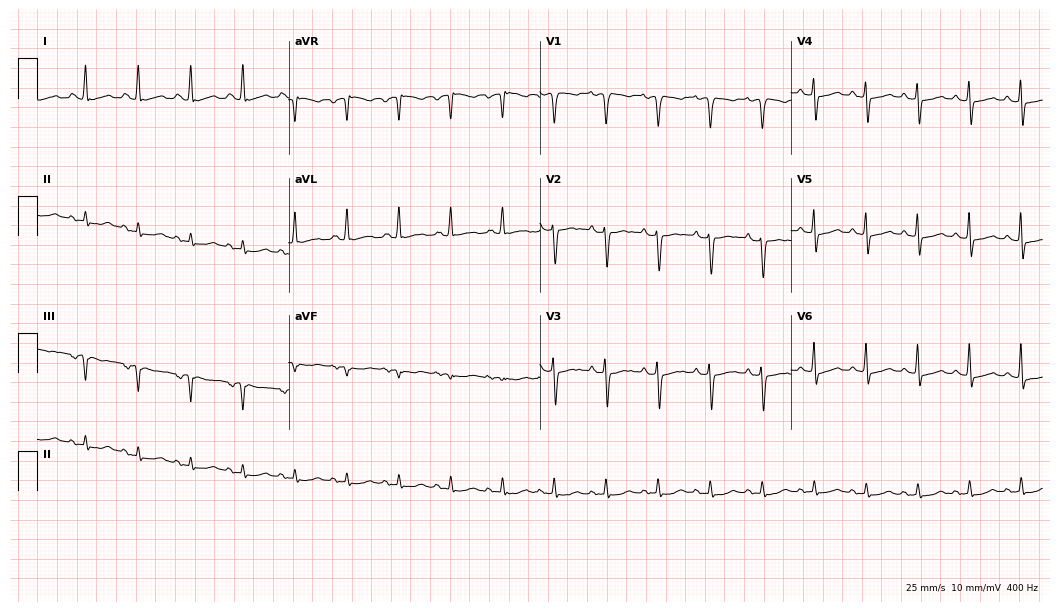
Resting 12-lead electrocardiogram. Patient: an 81-year-old woman. None of these six findings is recorded: first-degree AV block, right bundle branch block, left bundle branch block, sinus bradycardia, atrial fibrillation, sinus tachycardia. Only these six findings were labelled.